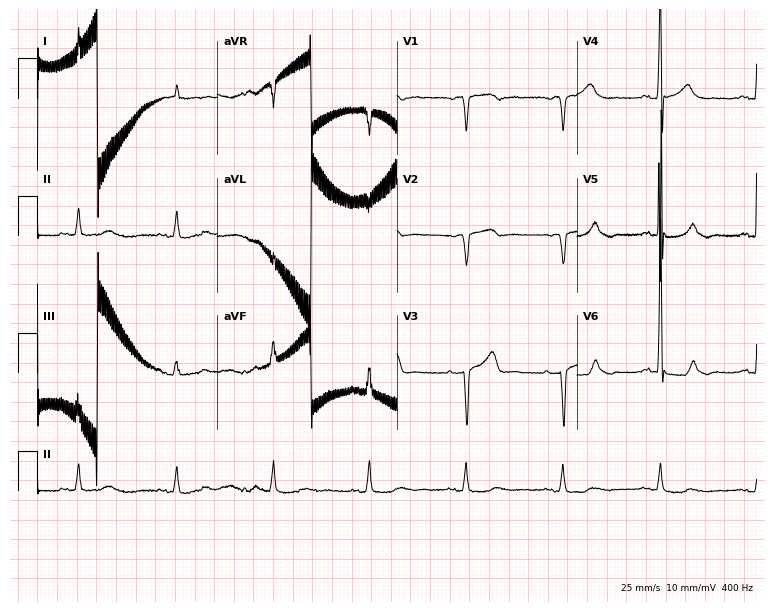
12-lead ECG from an 82-year-old male (7.3-second recording at 400 Hz). No first-degree AV block, right bundle branch block, left bundle branch block, sinus bradycardia, atrial fibrillation or sinus tachycardia recorded for this tracing. Only these six findings were labelled.